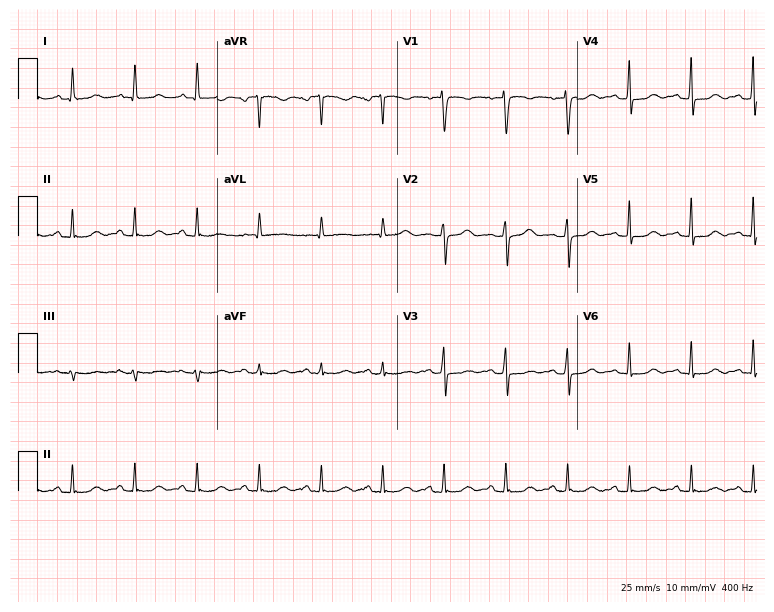
ECG (7.3-second recording at 400 Hz) — a 53-year-old female. Labelled as a normal ECG.